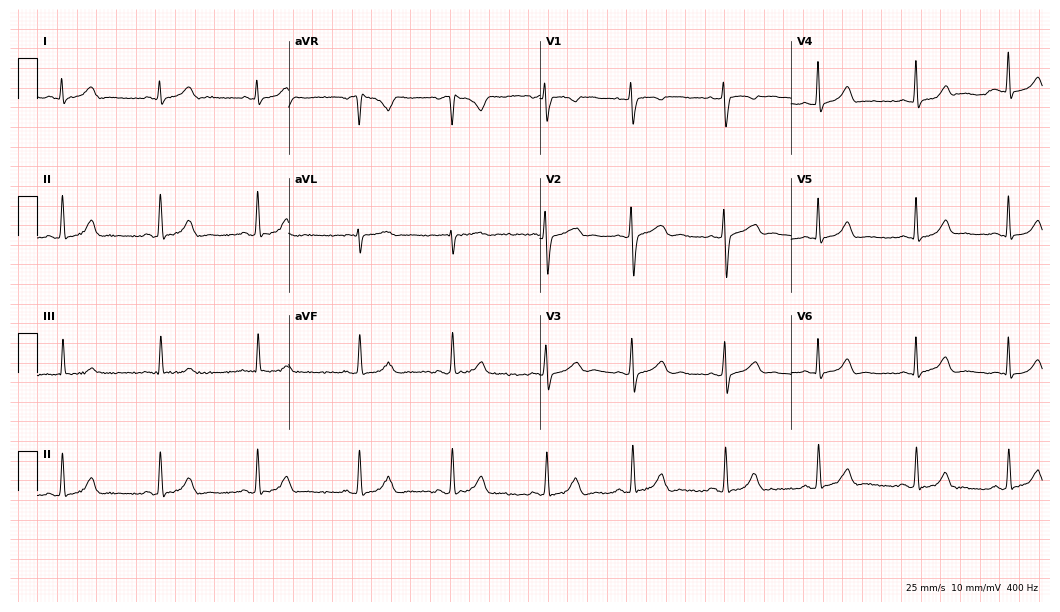
Electrocardiogram (10.2-second recording at 400 Hz), a female patient, 37 years old. Overall reading on record: normal ECG.